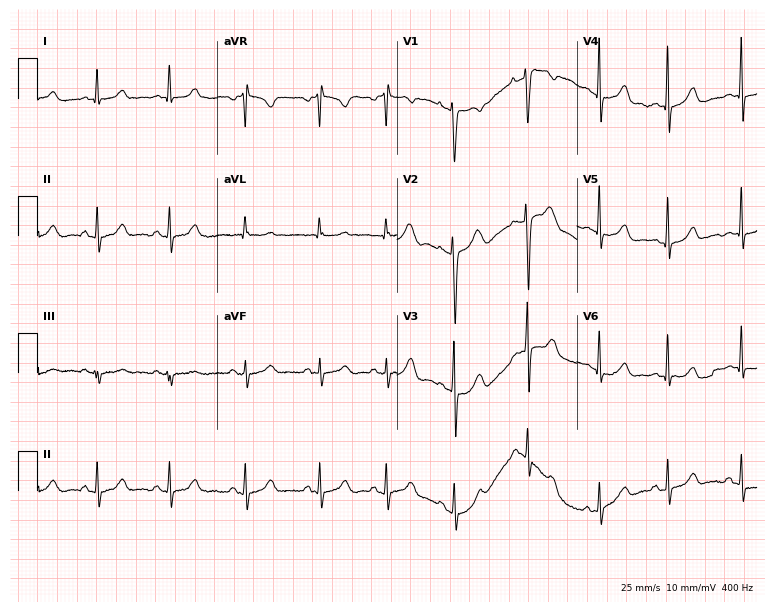
Standard 12-lead ECG recorded from a female patient, 19 years old. Read as a normal ECG.